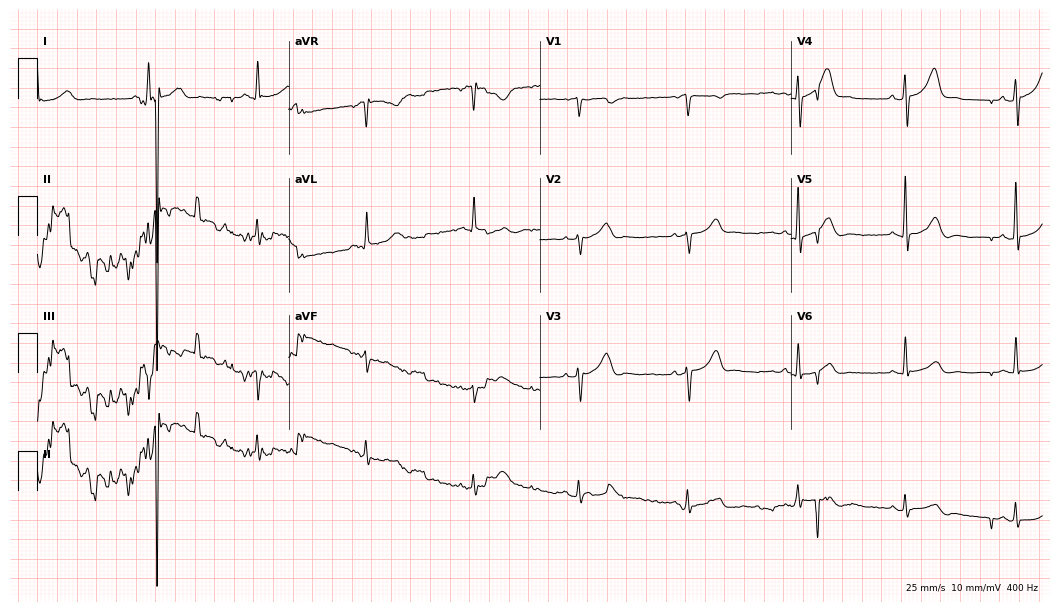
ECG (10.2-second recording at 400 Hz) — a 65-year-old female patient. Screened for six findings — first-degree AV block, right bundle branch block (RBBB), left bundle branch block (LBBB), sinus bradycardia, atrial fibrillation (AF), sinus tachycardia — none is recorded.